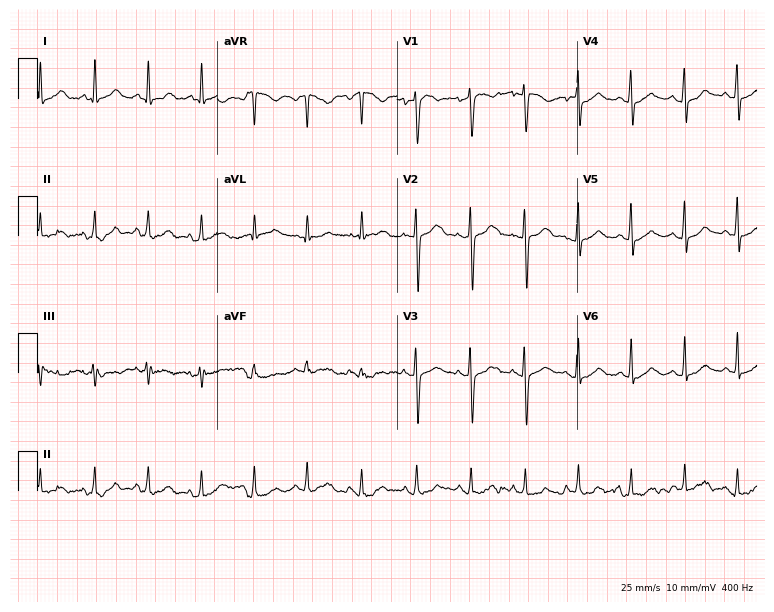
Standard 12-lead ECG recorded from a 27-year-old woman. The tracing shows sinus tachycardia (a sinus rate of 100 beats per minute or more).